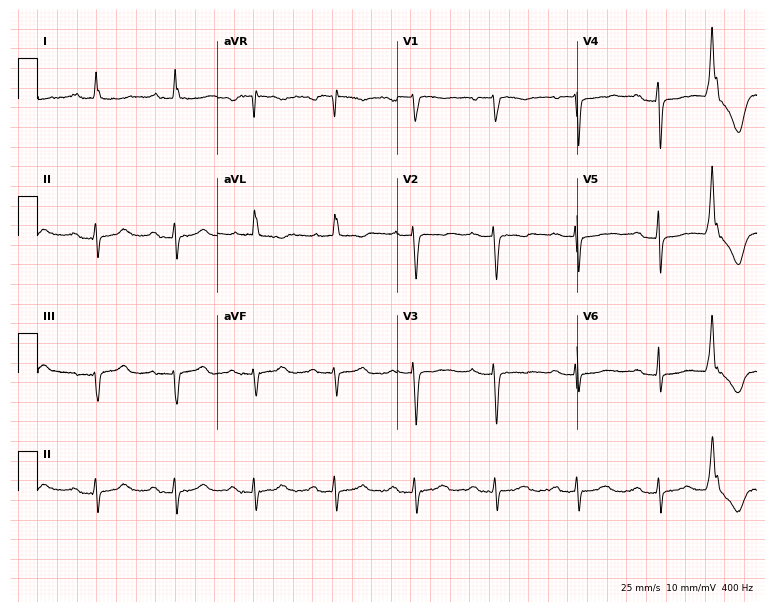
Standard 12-lead ECG recorded from an 82-year-old female patient. The tracing shows first-degree AV block.